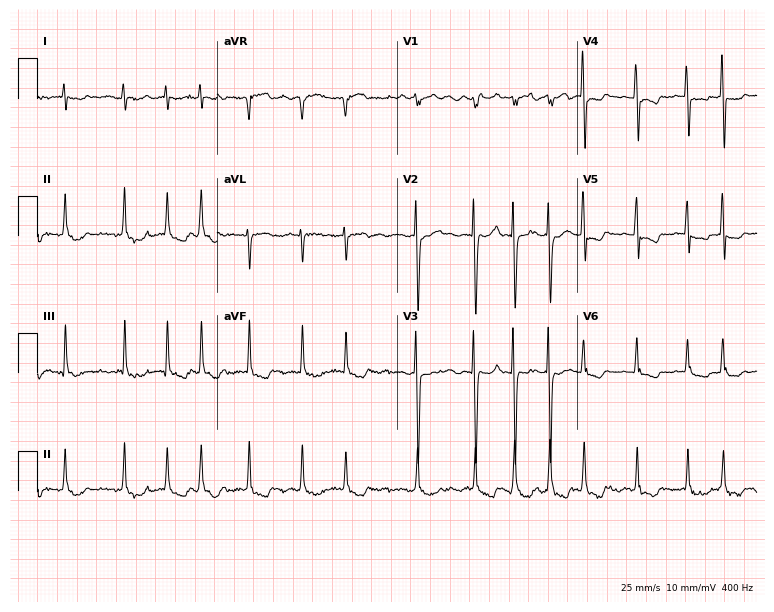
Electrocardiogram, a 67-year-old woman. Interpretation includes atrial fibrillation.